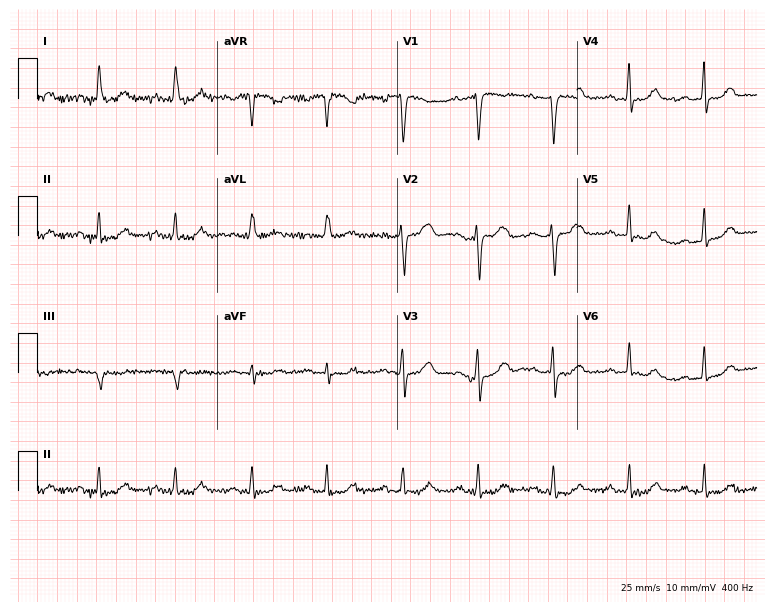
Resting 12-lead electrocardiogram (7.3-second recording at 400 Hz). Patient: a 48-year-old woman. The tracing shows first-degree AV block.